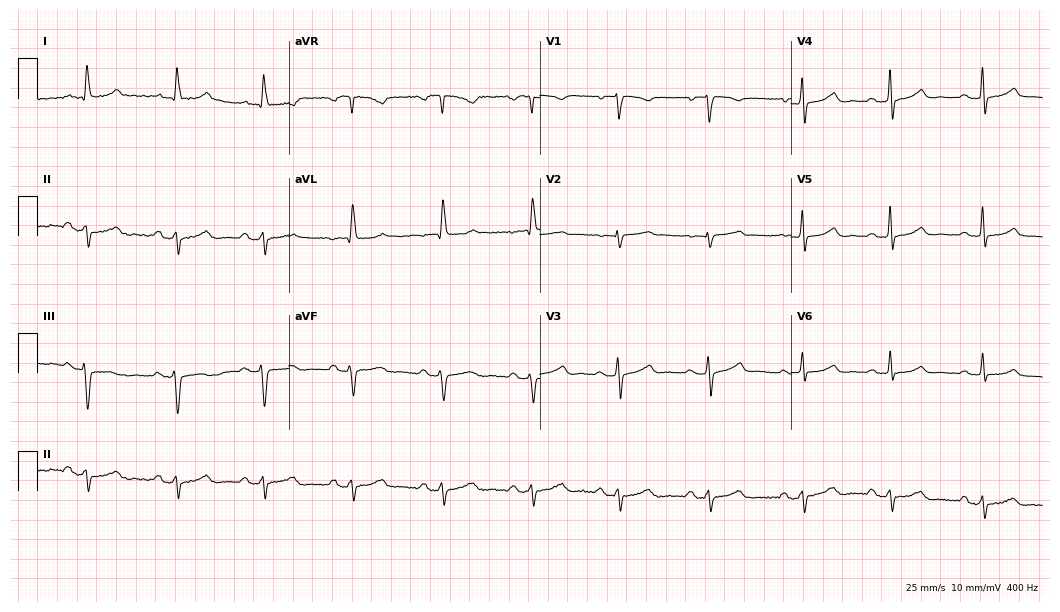
ECG — a woman, 62 years old. Screened for six findings — first-degree AV block, right bundle branch block, left bundle branch block, sinus bradycardia, atrial fibrillation, sinus tachycardia — none is recorded.